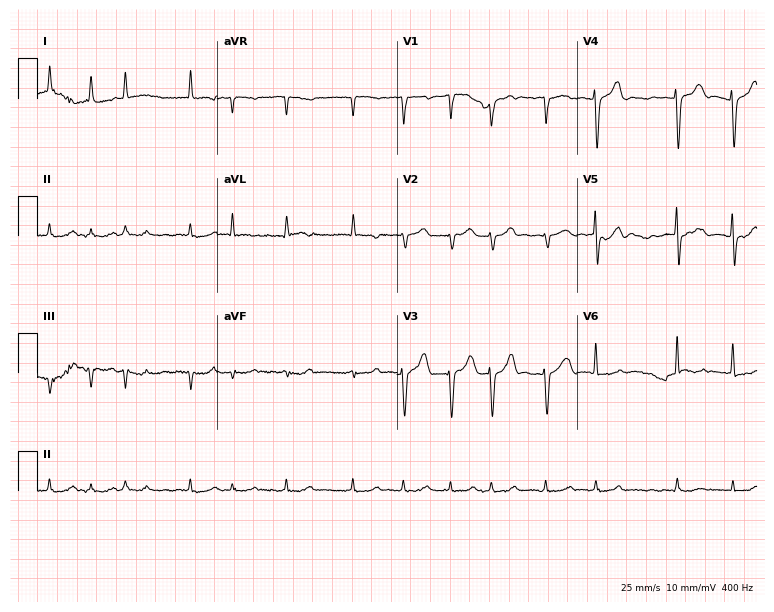
ECG (7.3-second recording at 400 Hz) — a female, 82 years old. Findings include atrial fibrillation.